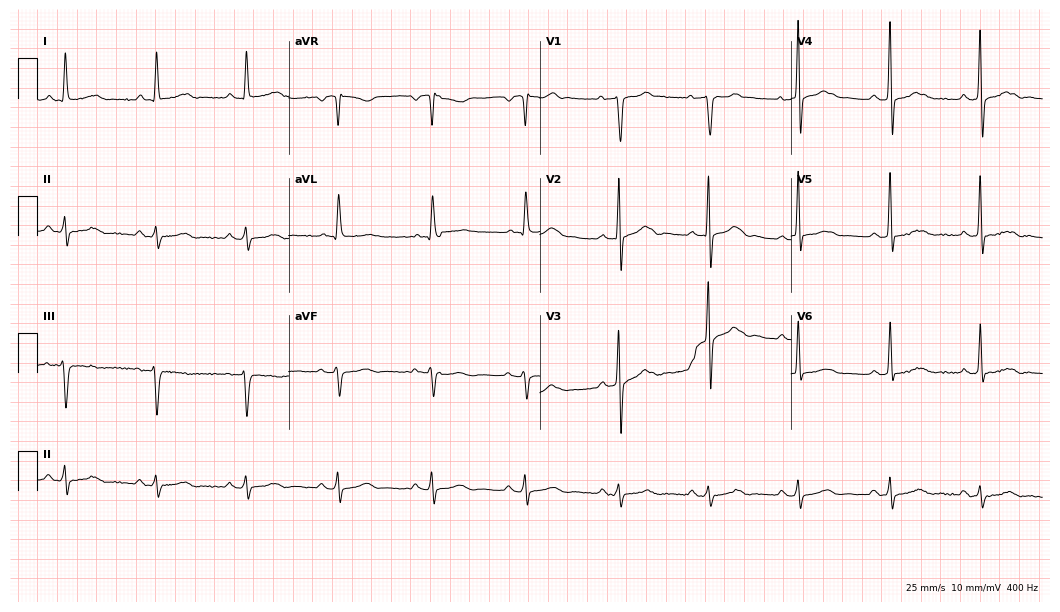
Resting 12-lead electrocardiogram. Patient: a male, 76 years old. None of these six findings is recorded: first-degree AV block, right bundle branch block, left bundle branch block, sinus bradycardia, atrial fibrillation, sinus tachycardia. Only these six findings were labelled.